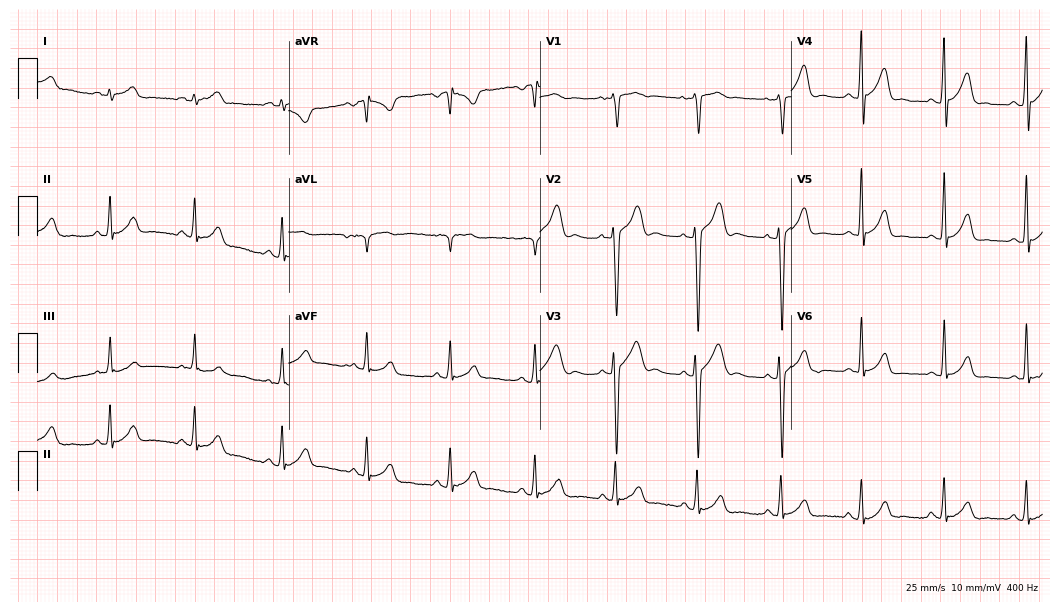
12-lead ECG from a male patient, 20 years old (10.2-second recording at 400 Hz). Recorded interpretation: within normal limits.